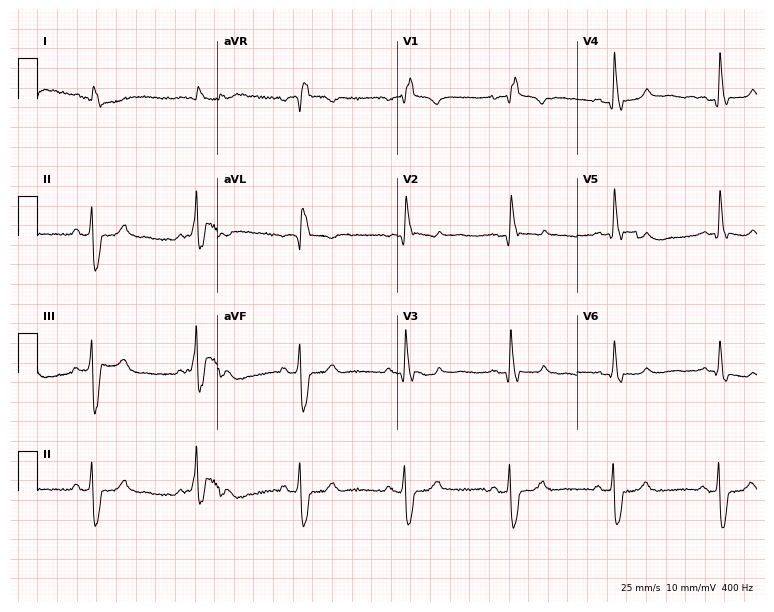
ECG — a male, 56 years old. Findings include right bundle branch block (RBBB).